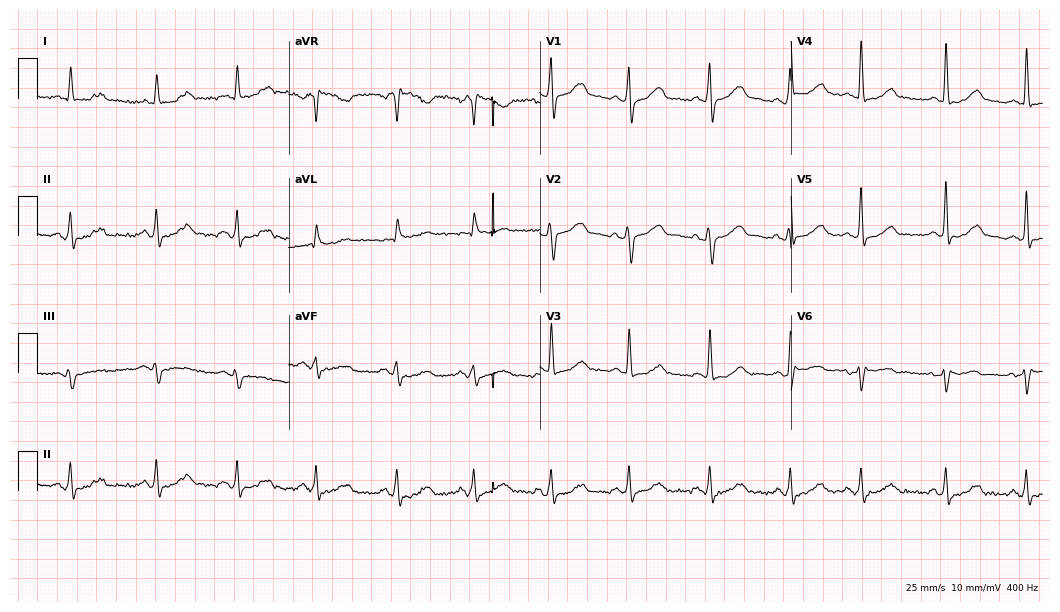
12-lead ECG from a female patient, 59 years old (10.2-second recording at 400 Hz). No first-degree AV block, right bundle branch block, left bundle branch block, sinus bradycardia, atrial fibrillation or sinus tachycardia recorded for this tracing. Only these six findings were labelled.